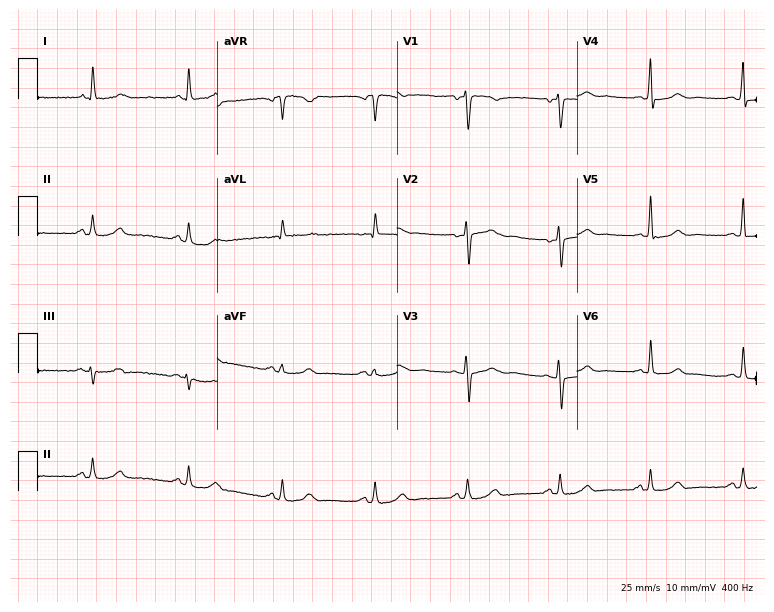
Resting 12-lead electrocardiogram. Patient: a man, 49 years old. None of these six findings is recorded: first-degree AV block, right bundle branch block (RBBB), left bundle branch block (LBBB), sinus bradycardia, atrial fibrillation (AF), sinus tachycardia. Findings outside these six are not listed.